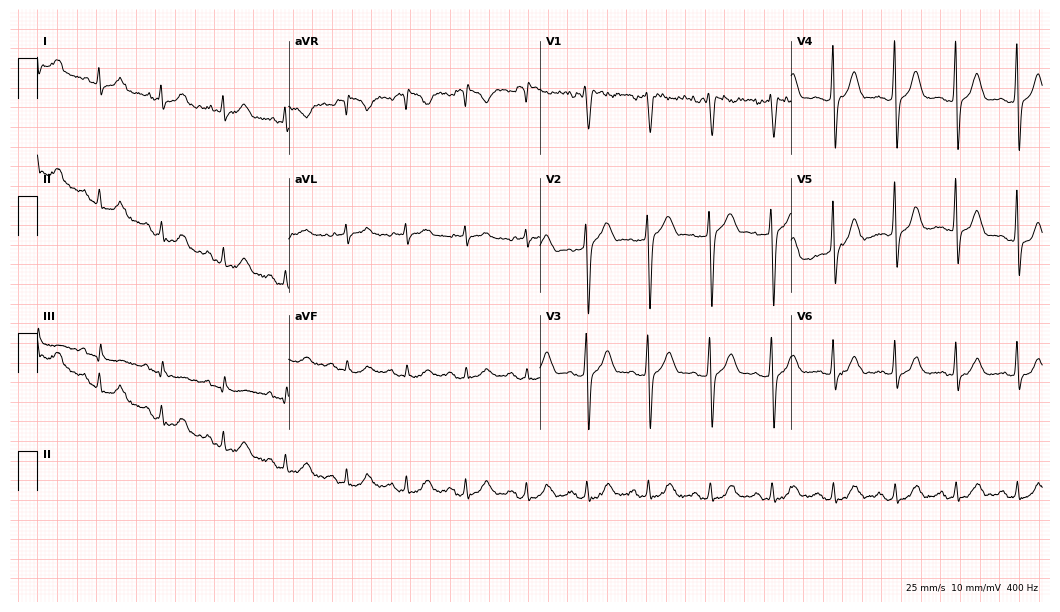
12-lead ECG (10.2-second recording at 400 Hz) from a man, 40 years old. Labelled as a normal ECG.